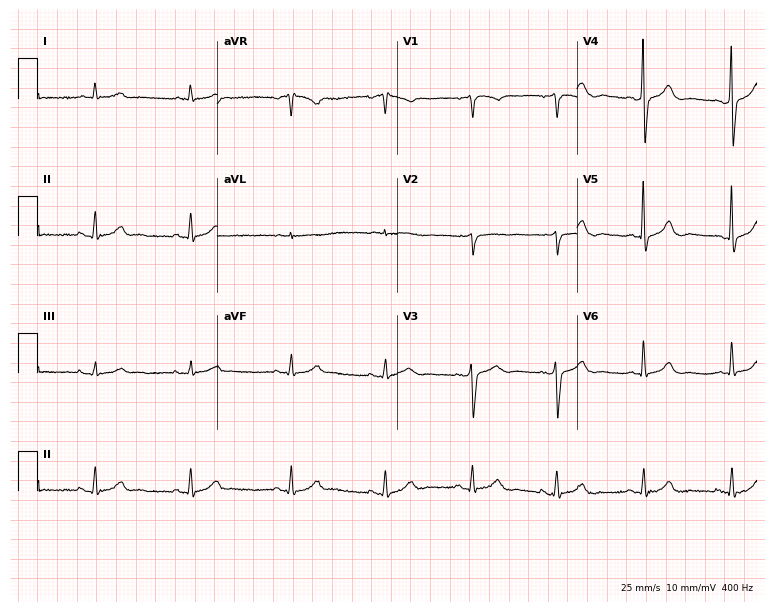
12-lead ECG from a 51-year-old male (7.3-second recording at 400 Hz). Recorded interpretation: within normal limits.